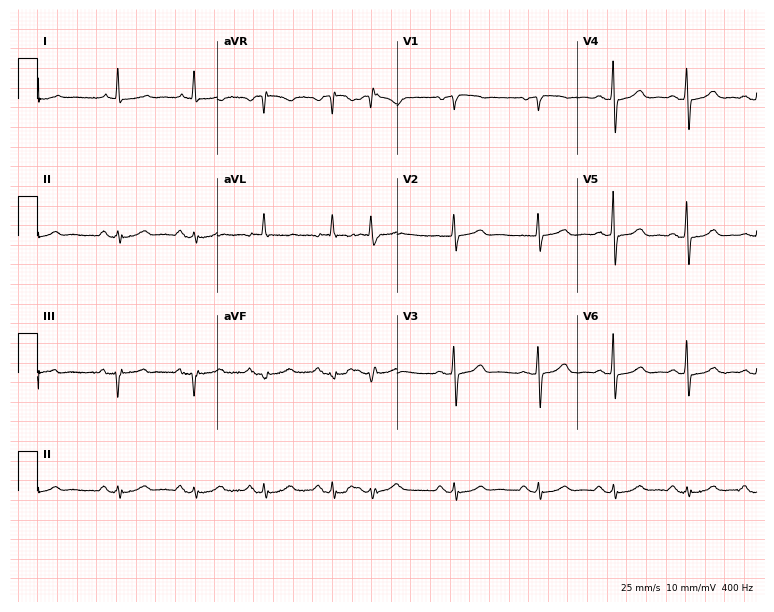
Electrocardiogram (7.3-second recording at 400 Hz), a female patient, 81 years old. Of the six screened findings (first-degree AV block, right bundle branch block, left bundle branch block, sinus bradycardia, atrial fibrillation, sinus tachycardia), none is recorded.